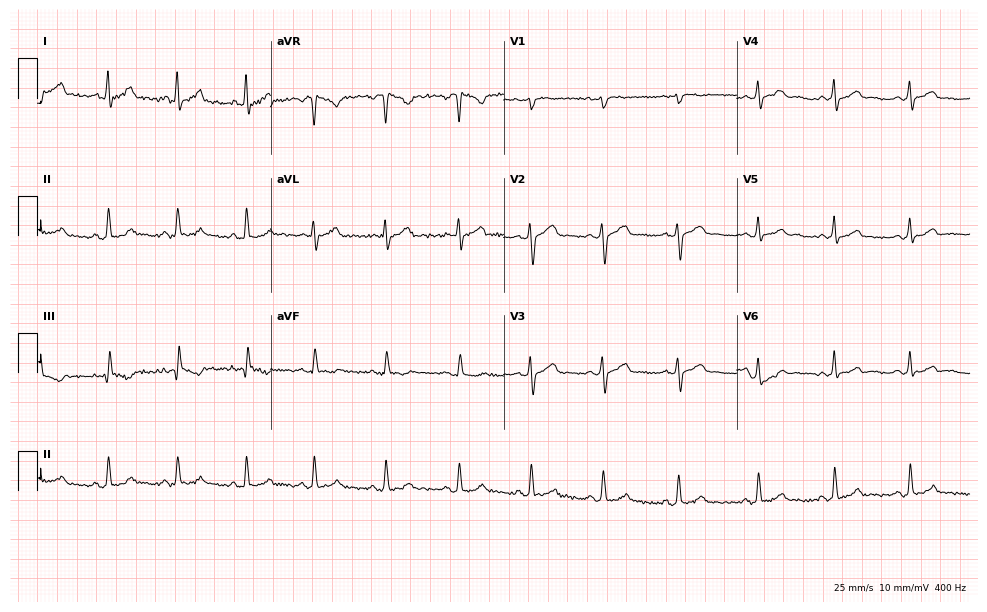
ECG (9.5-second recording at 400 Hz) — a 32-year-old woman. Screened for six findings — first-degree AV block, right bundle branch block, left bundle branch block, sinus bradycardia, atrial fibrillation, sinus tachycardia — none is recorded.